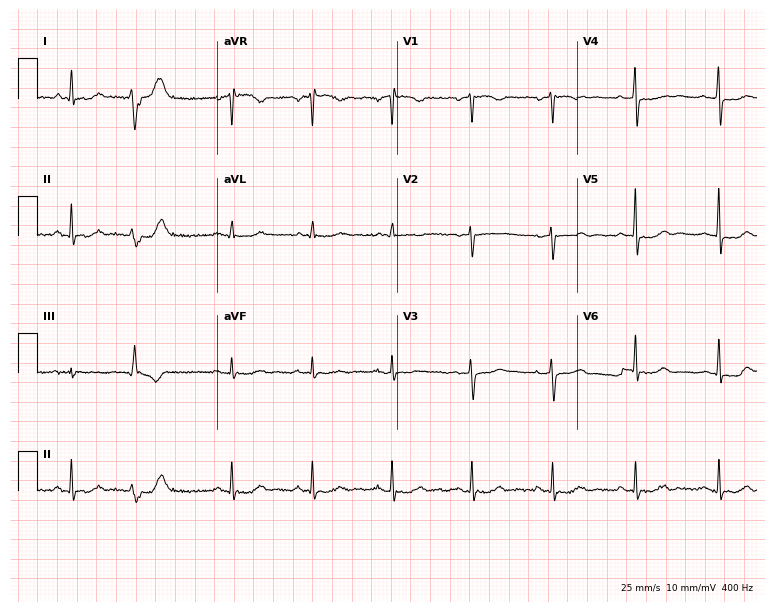
12-lead ECG from a 63-year-old female patient. Screened for six findings — first-degree AV block, right bundle branch block, left bundle branch block, sinus bradycardia, atrial fibrillation, sinus tachycardia — none is recorded. Only these six findings were labelled.